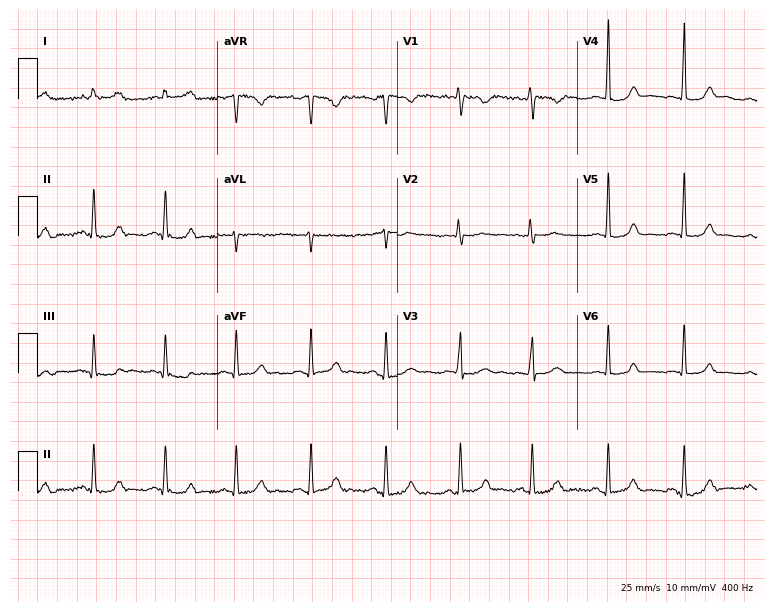
ECG (7.3-second recording at 400 Hz) — a female patient, 41 years old. Labelled as a normal ECG.